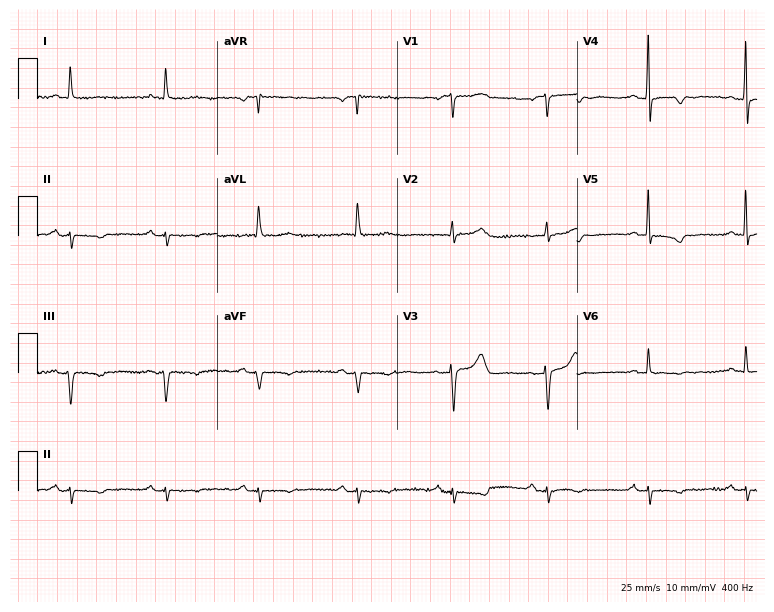
12-lead ECG (7.3-second recording at 400 Hz) from an 83-year-old female patient. Screened for six findings — first-degree AV block, right bundle branch block, left bundle branch block, sinus bradycardia, atrial fibrillation, sinus tachycardia — none is recorded. Other findings, if any, are not listed.